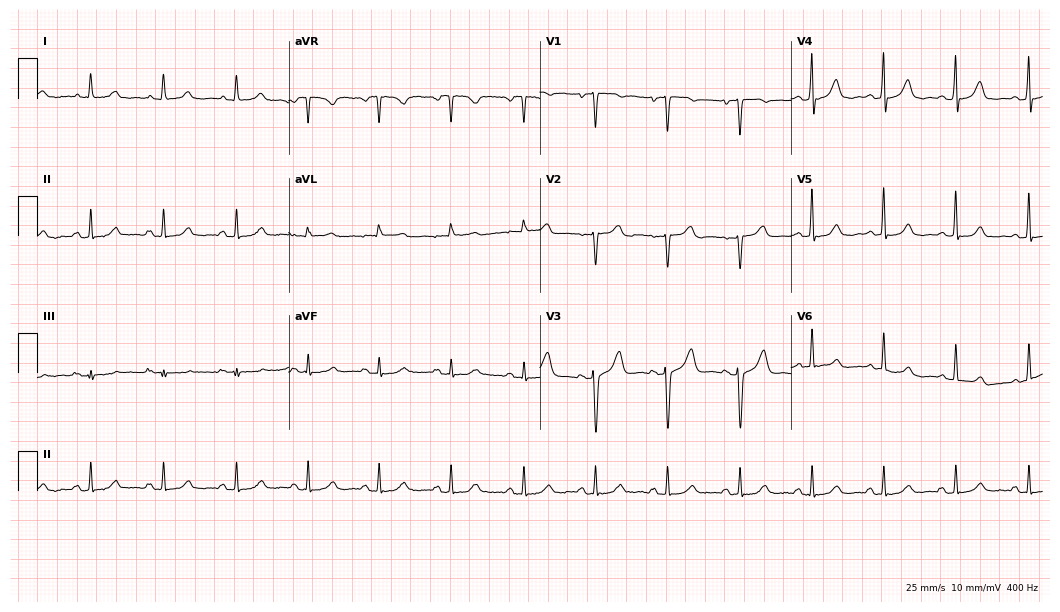
ECG — a 55-year-old woman. Labelled as a normal ECG.